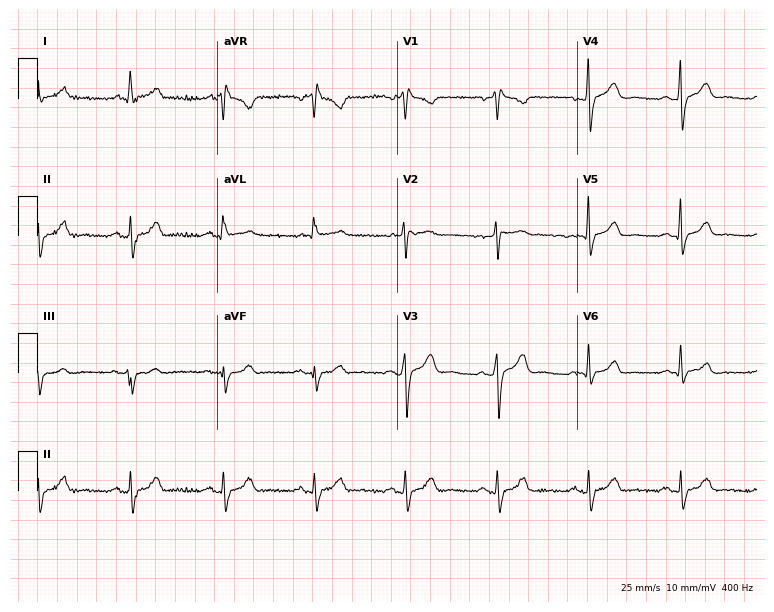
Standard 12-lead ECG recorded from a man, 67 years old (7.3-second recording at 400 Hz). None of these six findings is recorded: first-degree AV block, right bundle branch block (RBBB), left bundle branch block (LBBB), sinus bradycardia, atrial fibrillation (AF), sinus tachycardia. Findings outside these six are not listed.